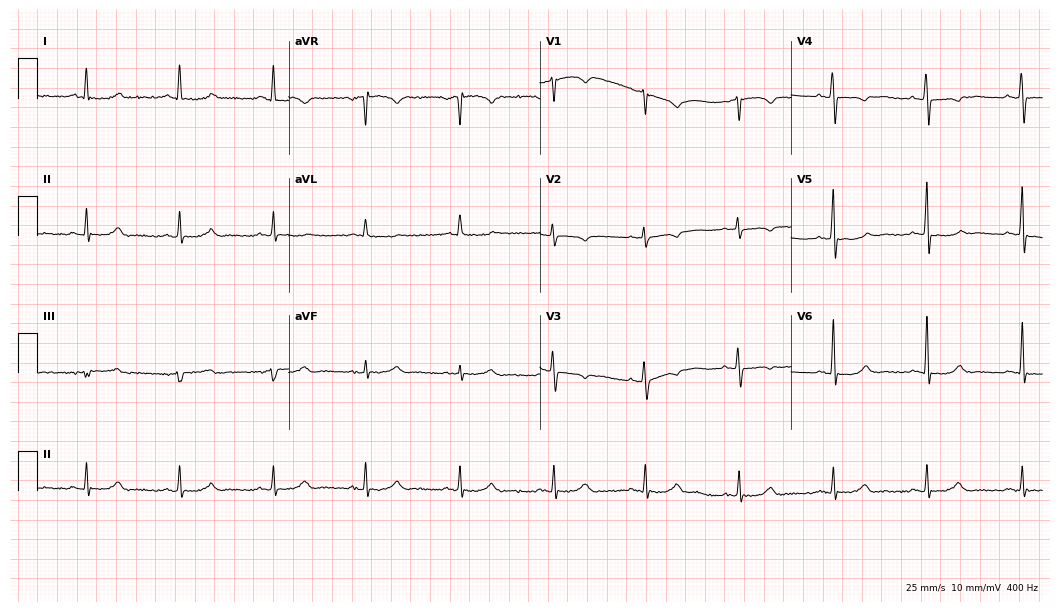
12-lead ECG (10.2-second recording at 400 Hz) from a female, 61 years old. Screened for six findings — first-degree AV block, right bundle branch block (RBBB), left bundle branch block (LBBB), sinus bradycardia, atrial fibrillation (AF), sinus tachycardia — none is recorded. Other findings, if any, are not listed.